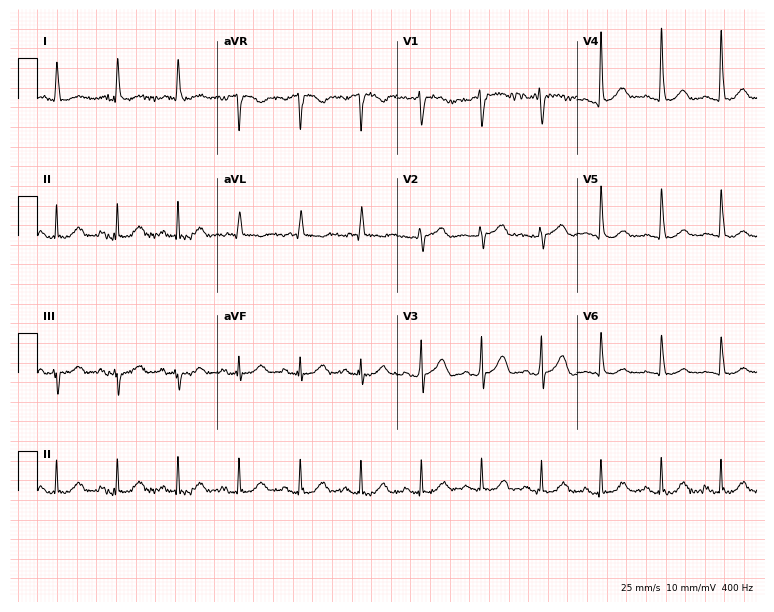
Standard 12-lead ECG recorded from a woman, 74 years old. None of these six findings is recorded: first-degree AV block, right bundle branch block, left bundle branch block, sinus bradycardia, atrial fibrillation, sinus tachycardia.